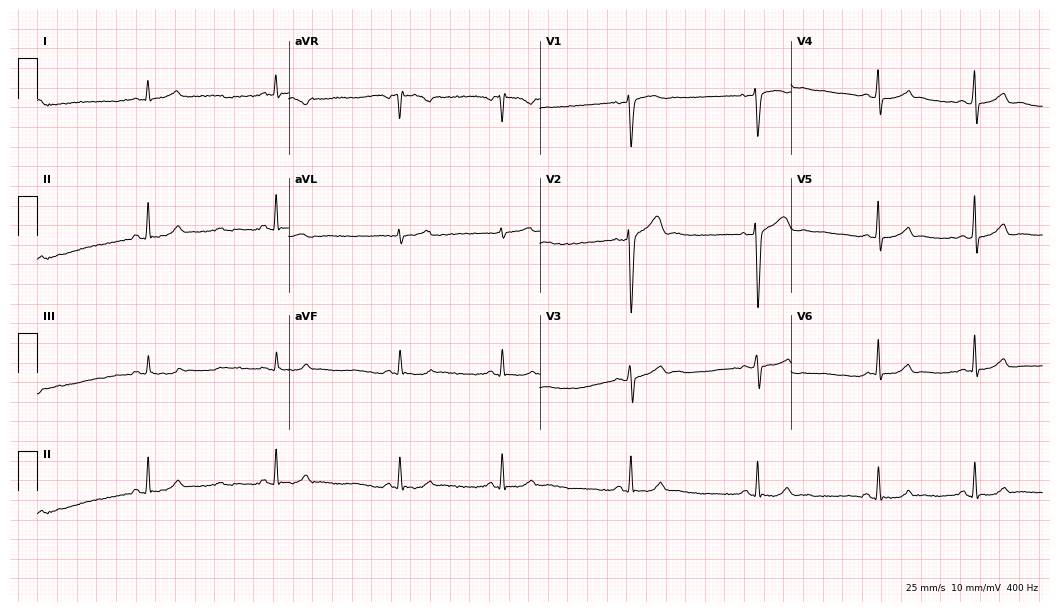
Electrocardiogram, a 32-year-old female. Interpretation includes sinus bradycardia (a sinus rate of 50 beats per minute or less).